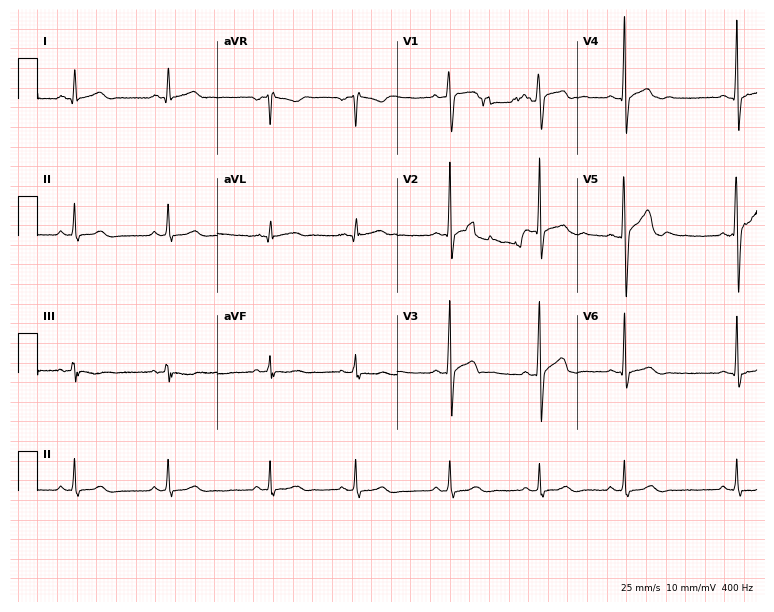
12-lead ECG (7.3-second recording at 400 Hz) from a man, 20 years old. Screened for six findings — first-degree AV block, right bundle branch block, left bundle branch block, sinus bradycardia, atrial fibrillation, sinus tachycardia — none is recorded.